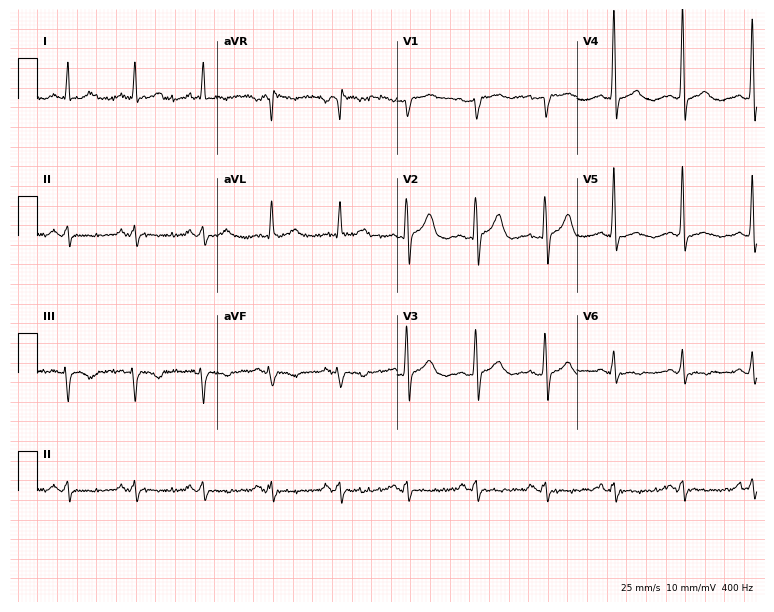
Resting 12-lead electrocardiogram. Patient: a male, 68 years old. None of these six findings is recorded: first-degree AV block, right bundle branch block, left bundle branch block, sinus bradycardia, atrial fibrillation, sinus tachycardia. Findings outside these six are not listed.